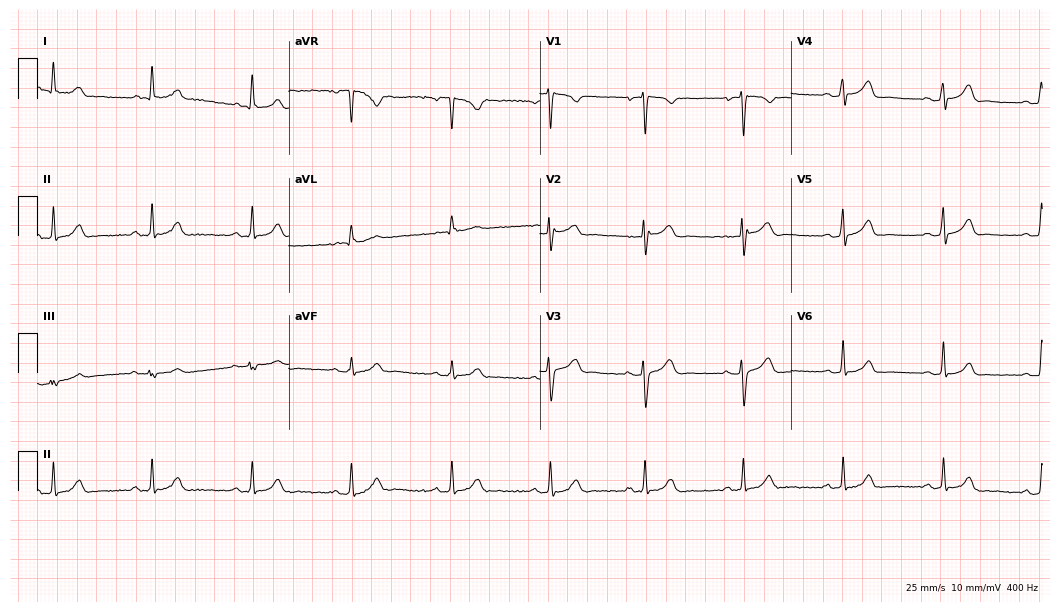
12-lead ECG from a male, 35 years old (10.2-second recording at 400 Hz). Recorded interpretation: within normal limits.